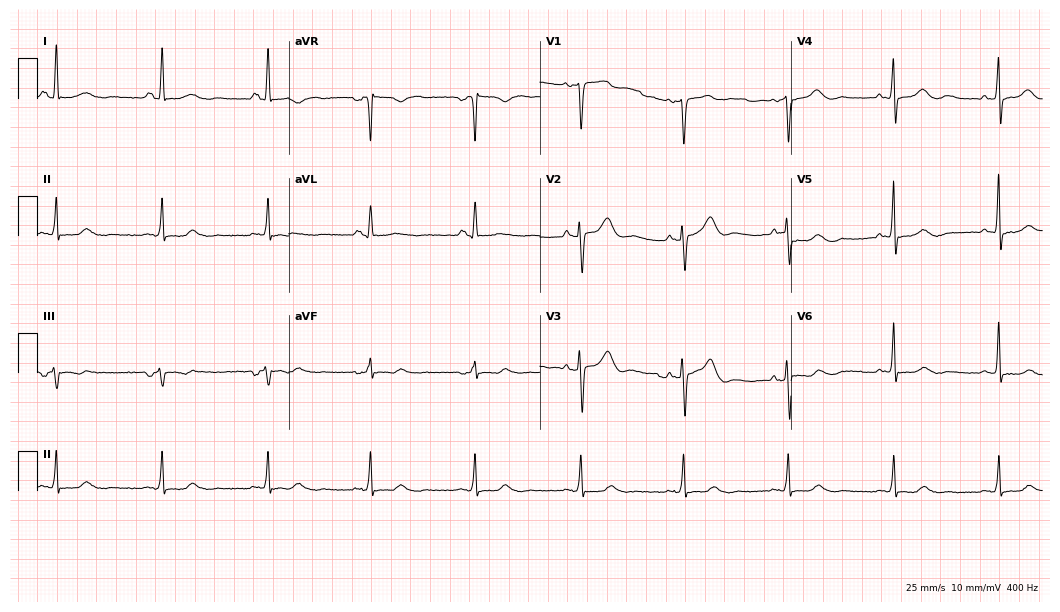
Resting 12-lead electrocardiogram. Patient: a woman, 58 years old. None of these six findings is recorded: first-degree AV block, right bundle branch block, left bundle branch block, sinus bradycardia, atrial fibrillation, sinus tachycardia.